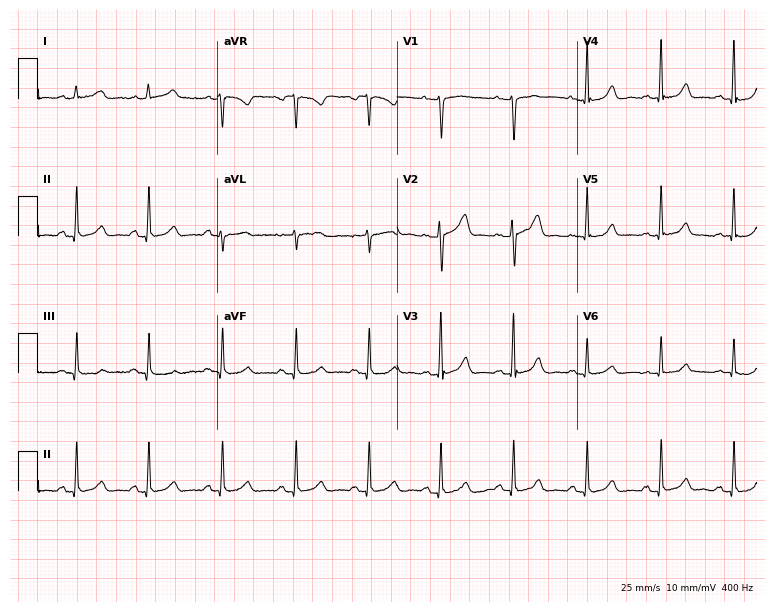
ECG — a 50-year-old female. Screened for six findings — first-degree AV block, right bundle branch block (RBBB), left bundle branch block (LBBB), sinus bradycardia, atrial fibrillation (AF), sinus tachycardia — none is recorded.